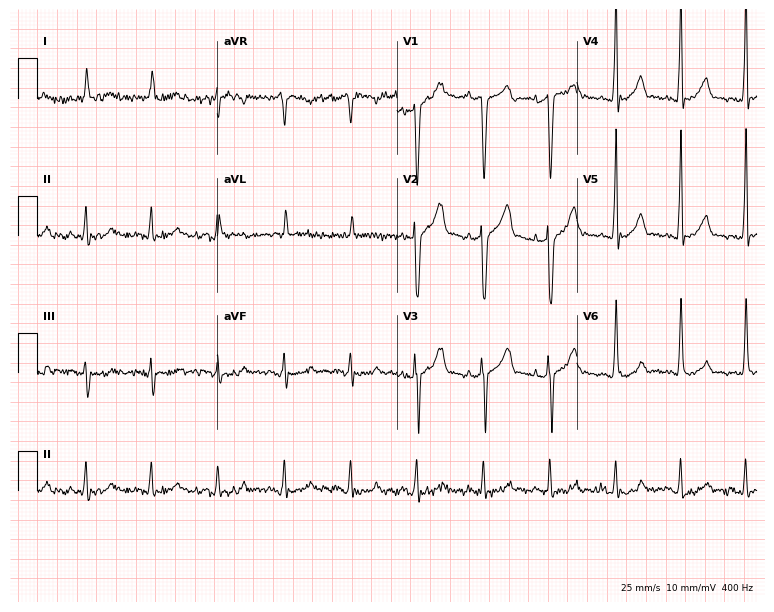
Standard 12-lead ECG recorded from a man, 52 years old (7.3-second recording at 400 Hz). Read as a normal ECG.